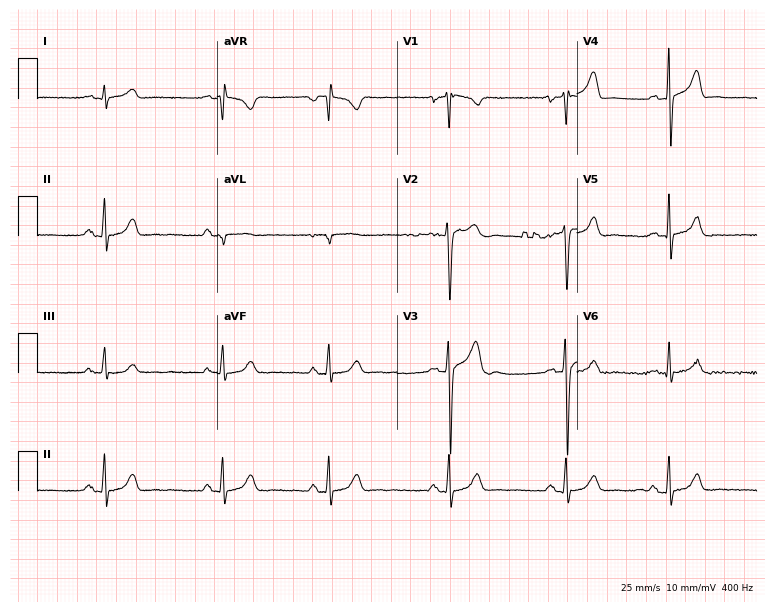
12-lead ECG (7.3-second recording at 400 Hz) from a 22-year-old man. Screened for six findings — first-degree AV block, right bundle branch block, left bundle branch block, sinus bradycardia, atrial fibrillation, sinus tachycardia — none is recorded.